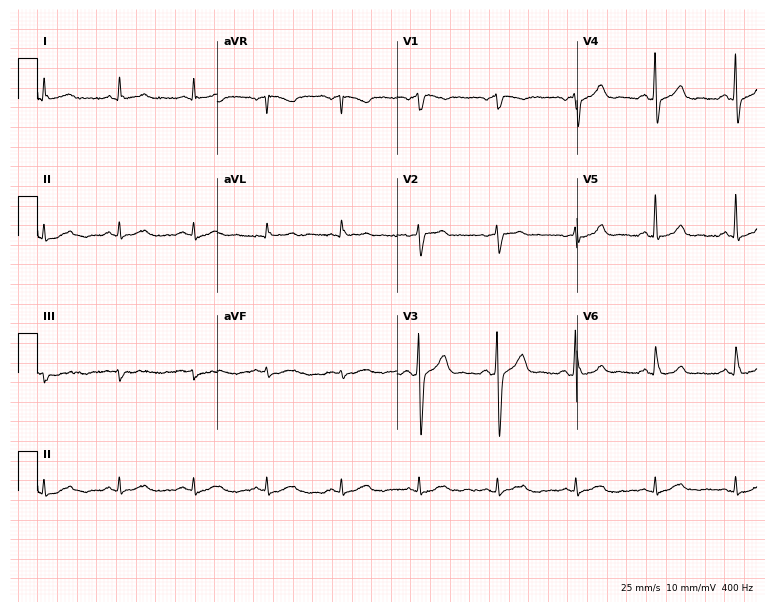
ECG (7.3-second recording at 400 Hz) — a male, 51 years old. Labelled as a normal ECG.